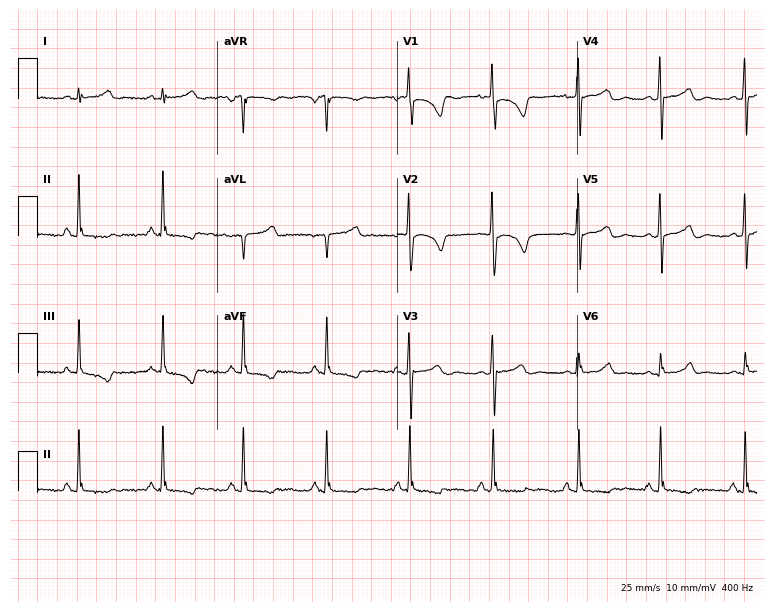
Standard 12-lead ECG recorded from a female, 23 years old (7.3-second recording at 400 Hz). None of these six findings is recorded: first-degree AV block, right bundle branch block (RBBB), left bundle branch block (LBBB), sinus bradycardia, atrial fibrillation (AF), sinus tachycardia. Findings outside these six are not listed.